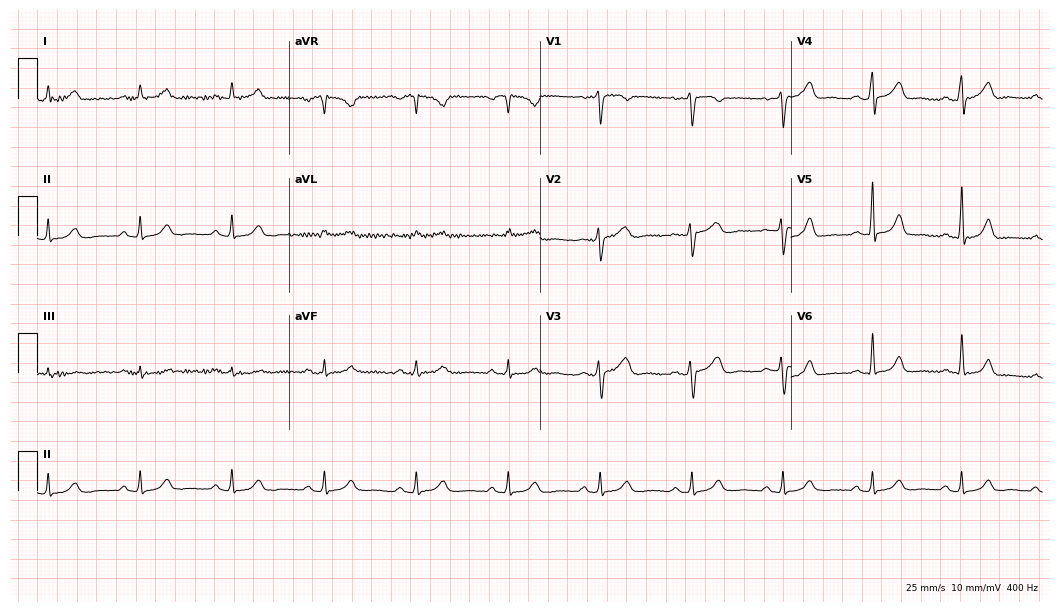
Resting 12-lead electrocardiogram (10.2-second recording at 400 Hz). Patient: a 41-year-old woman. Read as a normal ECG.